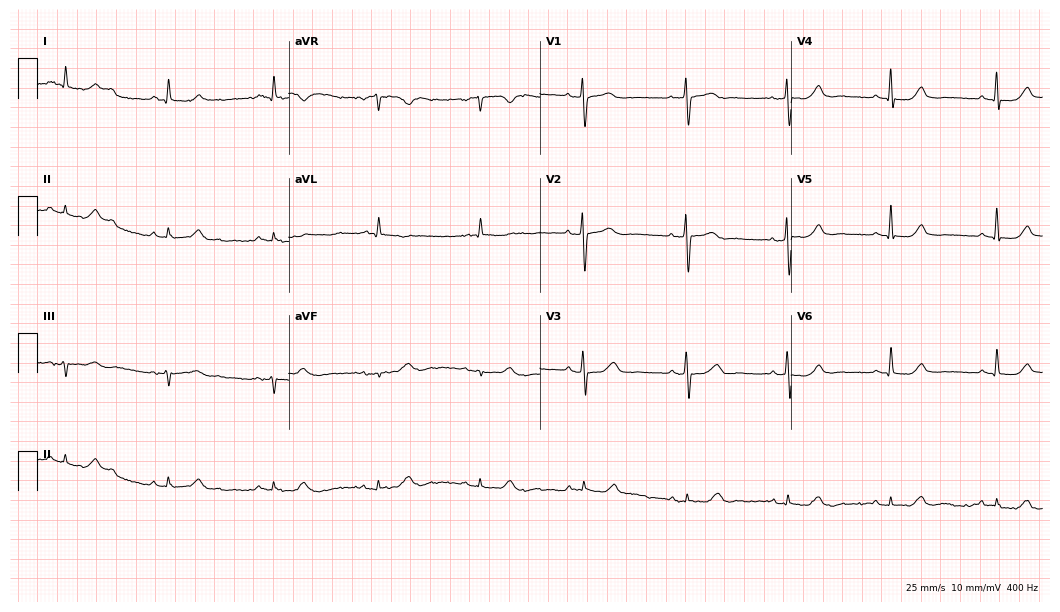
Electrocardiogram (10.2-second recording at 400 Hz), a female patient, 71 years old. Of the six screened findings (first-degree AV block, right bundle branch block, left bundle branch block, sinus bradycardia, atrial fibrillation, sinus tachycardia), none is recorded. Findings outside these six are not listed.